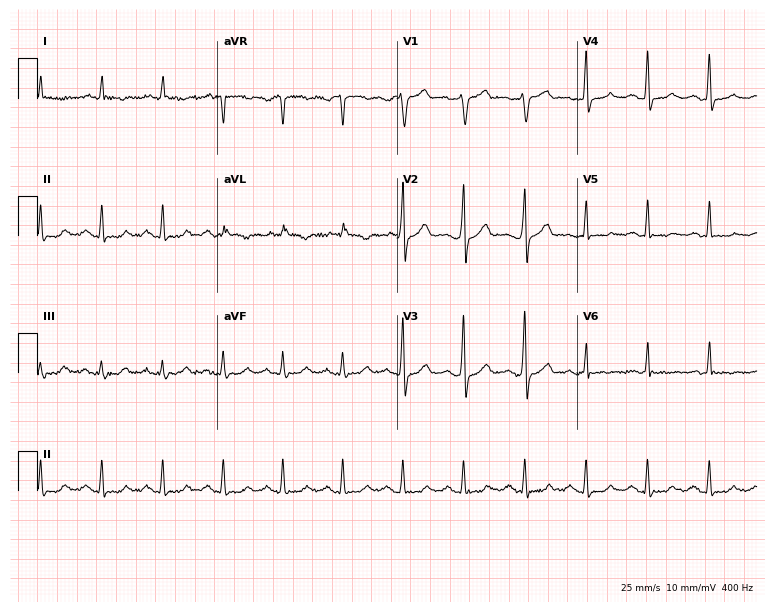
Resting 12-lead electrocardiogram. Patient: a 69-year-old man. None of these six findings is recorded: first-degree AV block, right bundle branch block (RBBB), left bundle branch block (LBBB), sinus bradycardia, atrial fibrillation (AF), sinus tachycardia.